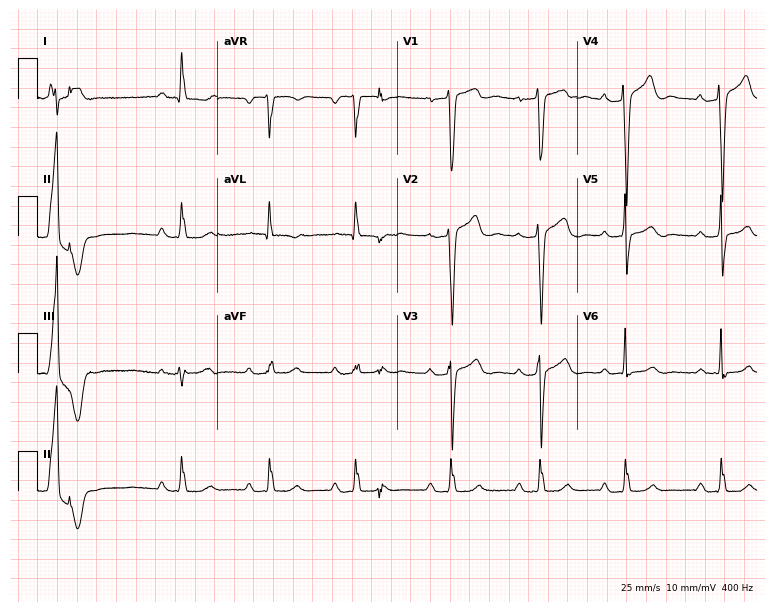
12-lead ECG (7.3-second recording at 400 Hz) from a male, 37 years old. Findings include first-degree AV block.